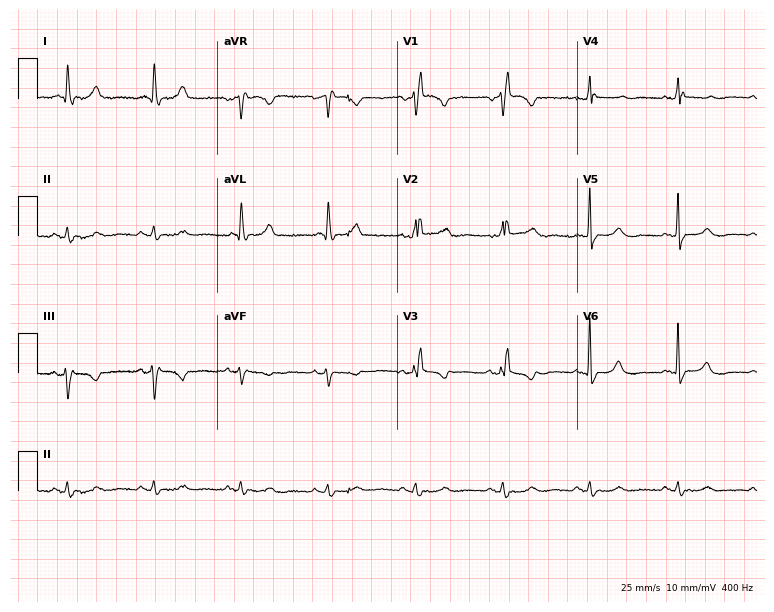
12-lead ECG from an 81-year-old woman (7.3-second recording at 400 Hz). Shows right bundle branch block.